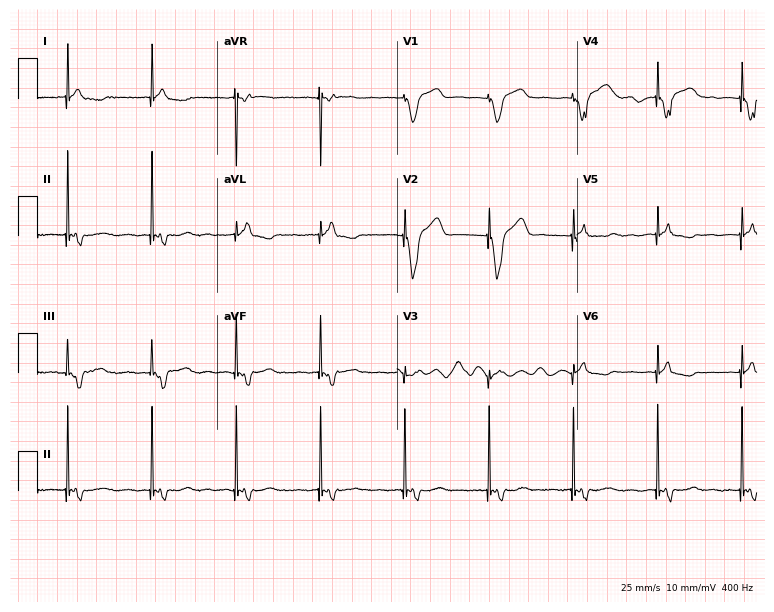
Electrocardiogram, a 75-year-old man. Of the six screened findings (first-degree AV block, right bundle branch block, left bundle branch block, sinus bradycardia, atrial fibrillation, sinus tachycardia), none is recorded.